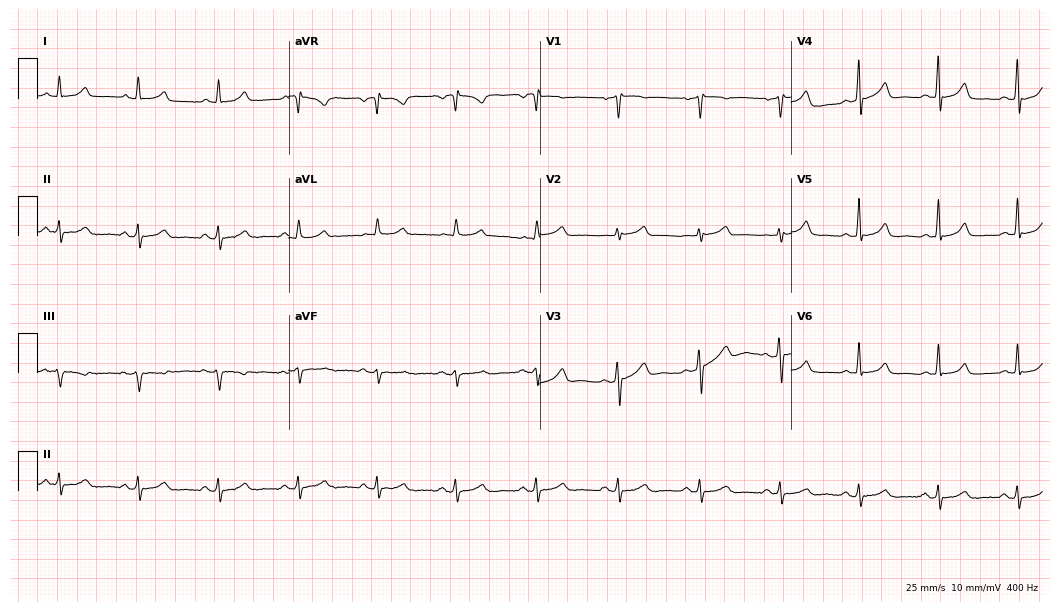
12-lead ECG from a 57-year-old man. Recorded interpretation: within normal limits.